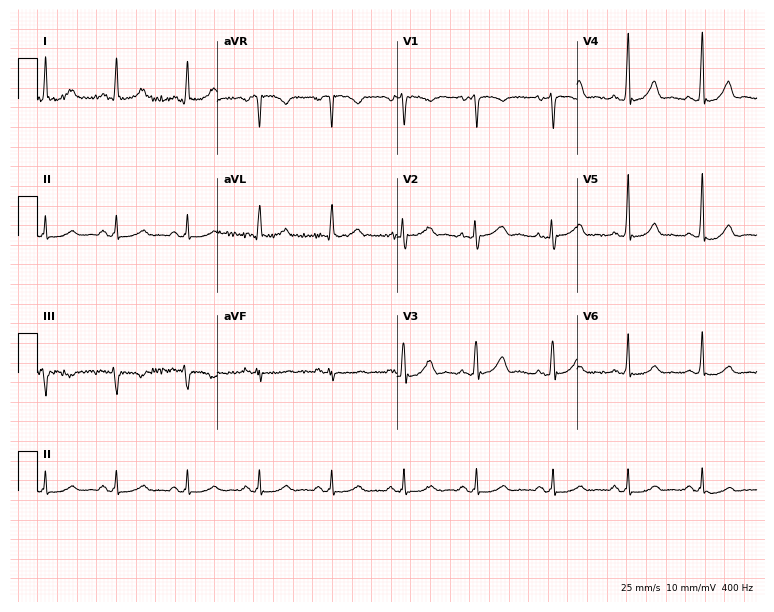
Standard 12-lead ECG recorded from a woman, 58 years old (7.3-second recording at 400 Hz). Read as a normal ECG.